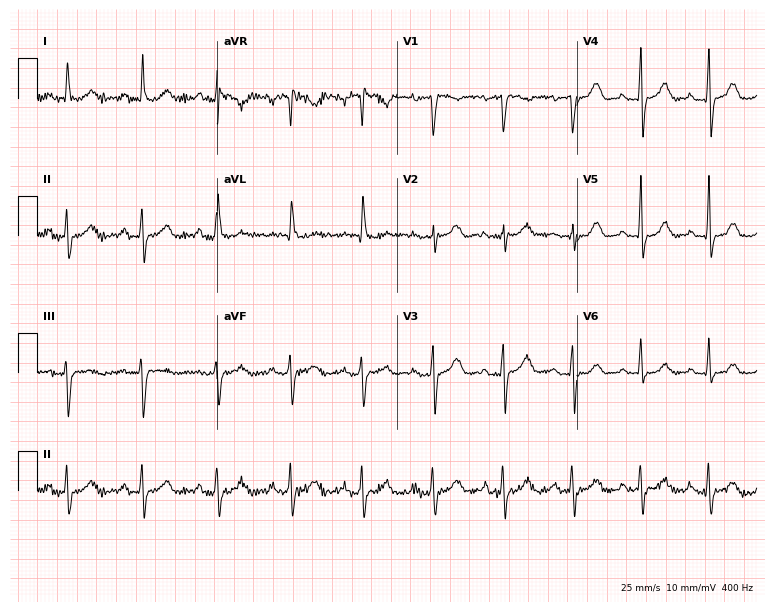
Electrocardiogram, a female, 62 years old. Of the six screened findings (first-degree AV block, right bundle branch block, left bundle branch block, sinus bradycardia, atrial fibrillation, sinus tachycardia), none is recorded.